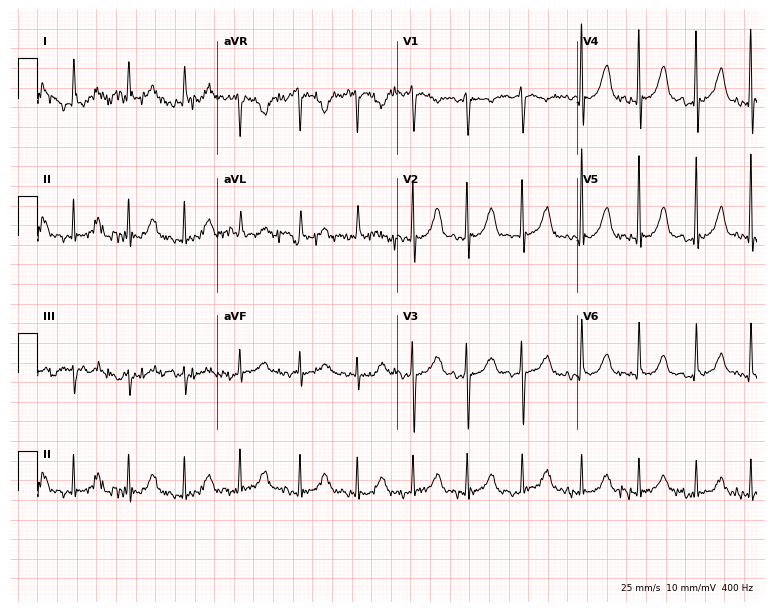
ECG — a male, 80 years old. Findings include sinus tachycardia (a sinus rate of 100 beats per minute or more).